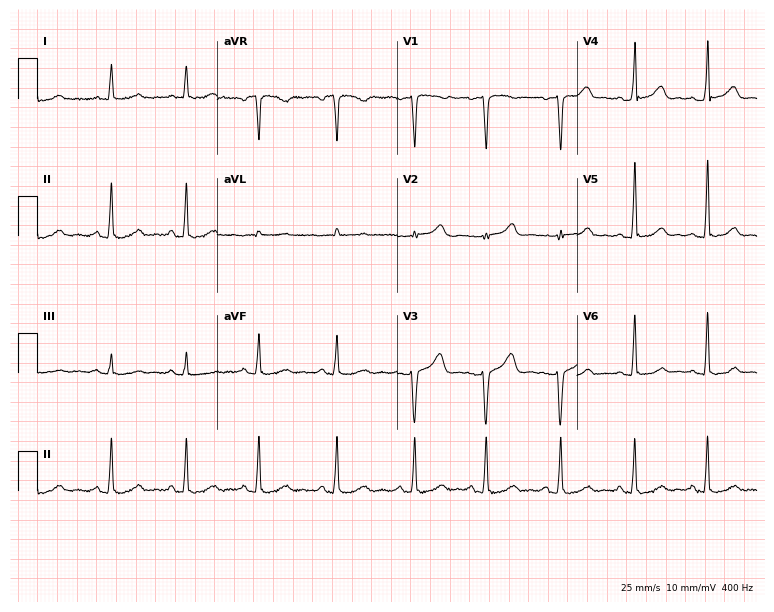
Standard 12-lead ECG recorded from a female patient, 41 years old (7.3-second recording at 400 Hz). None of these six findings is recorded: first-degree AV block, right bundle branch block, left bundle branch block, sinus bradycardia, atrial fibrillation, sinus tachycardia. Only these six findings were labelled.